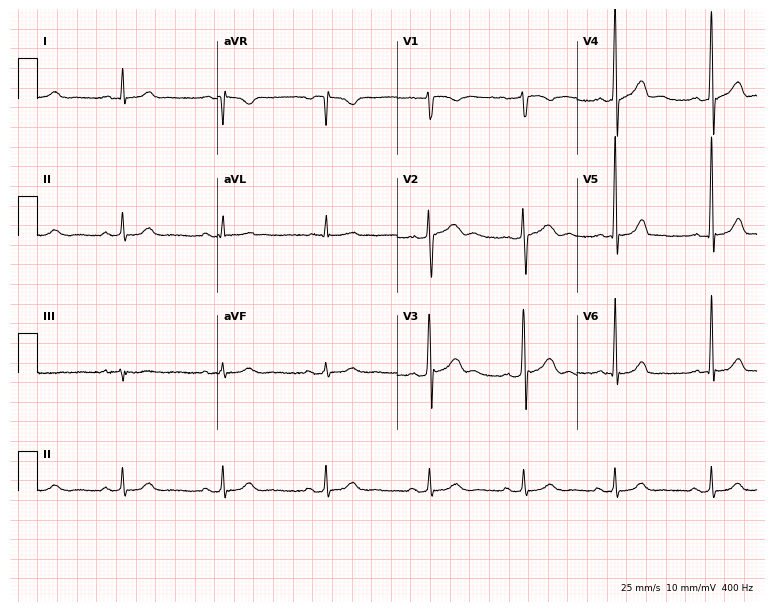
ECG — a 44-year-old male. Screened for six findings — first-degree AV block, right bundle branch block, left bundle branch block, sinus bradycardia, atrial fibrillation, sinus tachycardia — none is recorded. Other findings, if any, are not listed.